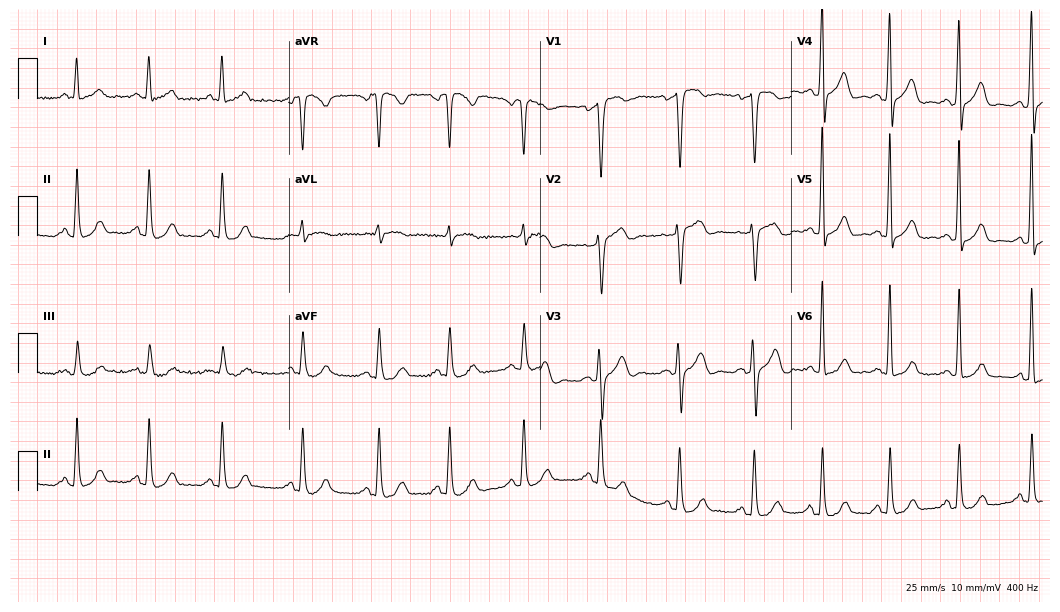
12-lead ECG (10.2-second recording at 400 Hz) from a male patient, 47 years old. Labelled as a normal ECG.